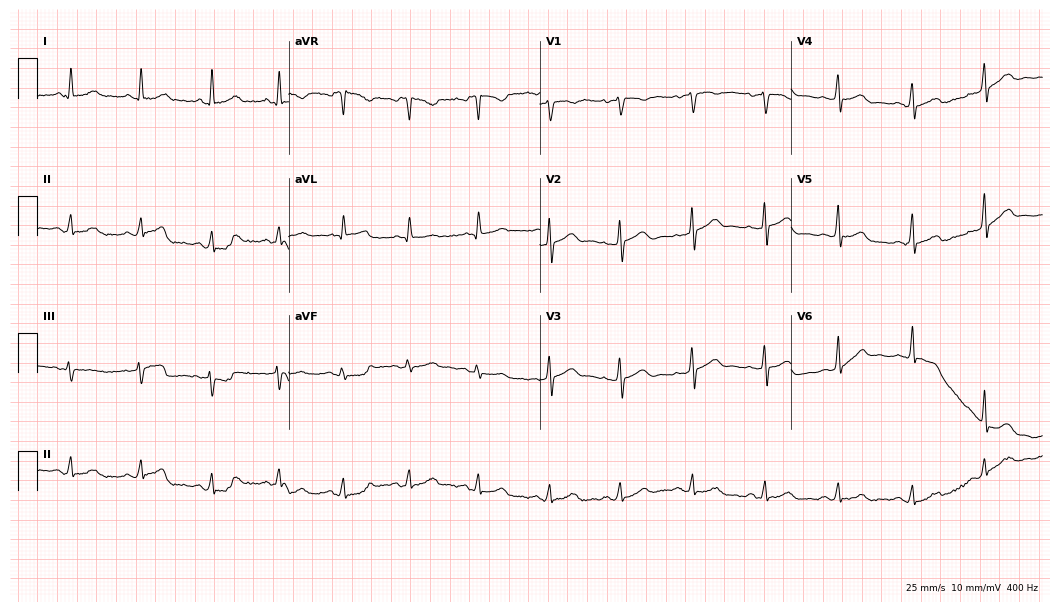
Resting 12-lead electrocardiogram (10.2-second recording at 400 Hz). Patient: a female, 35 years old. Read as a normal ECG.